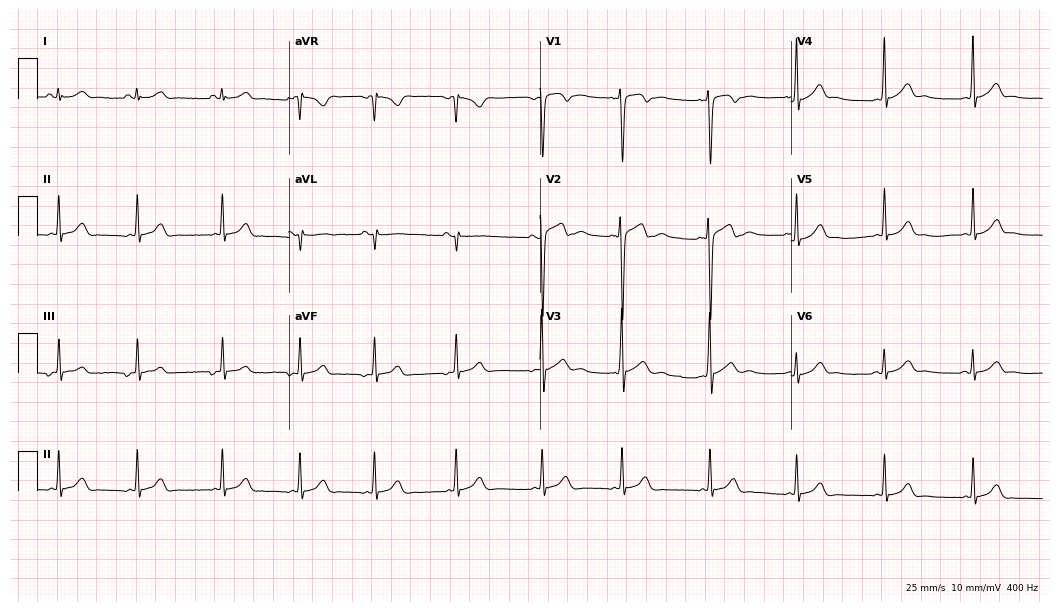
ECG — a 17-year-old man. Screened for six findings — first-degree AV block, right bundle branch block, left bundle branch block, sinus bradycardia, atrial fibrillation, sinus tachycardia — none is recorded. Findings outside these six are not listed.